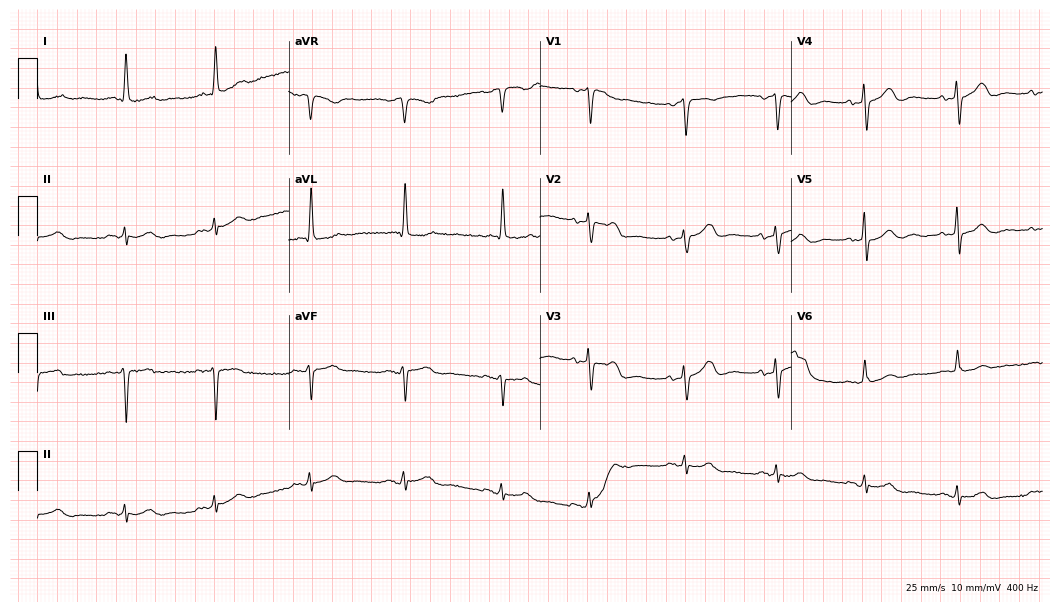
12-lead ECG (10.2-second recording at 400 Hz) from a 77-year-old man. Labelled as a normal ECG.